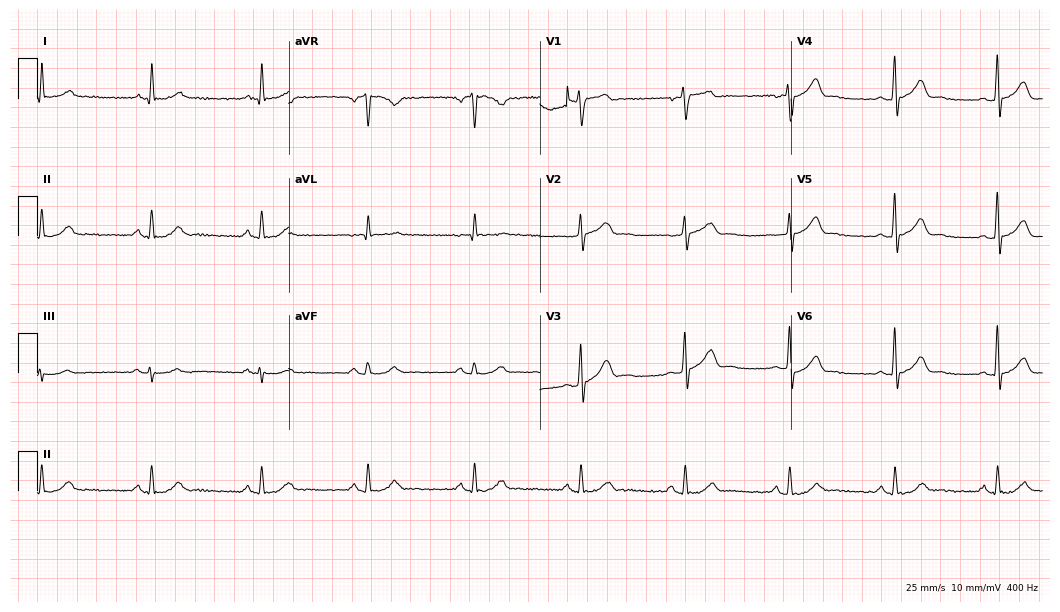
Resting 12-lead electrocardiogram (10.2-second recording at 400 Hz). Patient: a 55-year-old male. Read as a normal ECG.